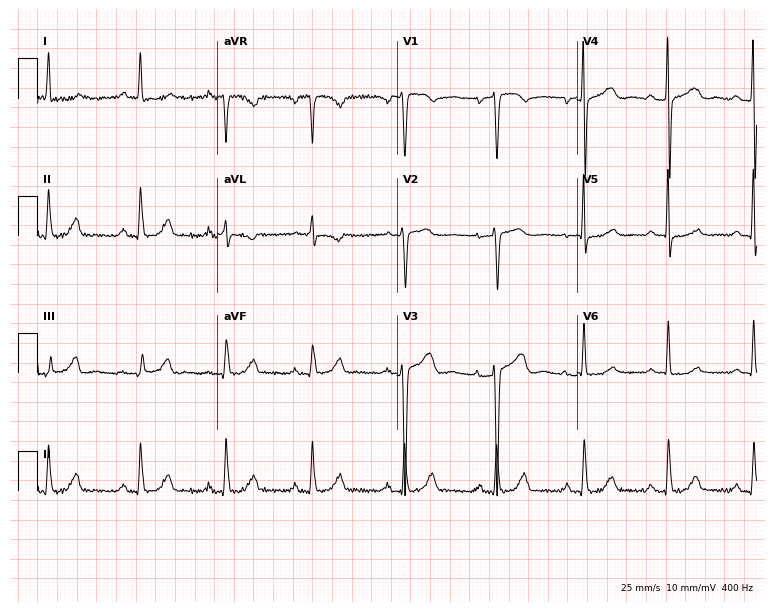
12-lead ECG (7.3-second recording at 400 Hz) from a 58-year-old female. Screened for six findings — first-degree AV block, right bundle branch block, left bundle branch block, sinus bradycardia, atrial fibrillation, sinus tachycardia — none is recorded. Findings outside these six are not listed.